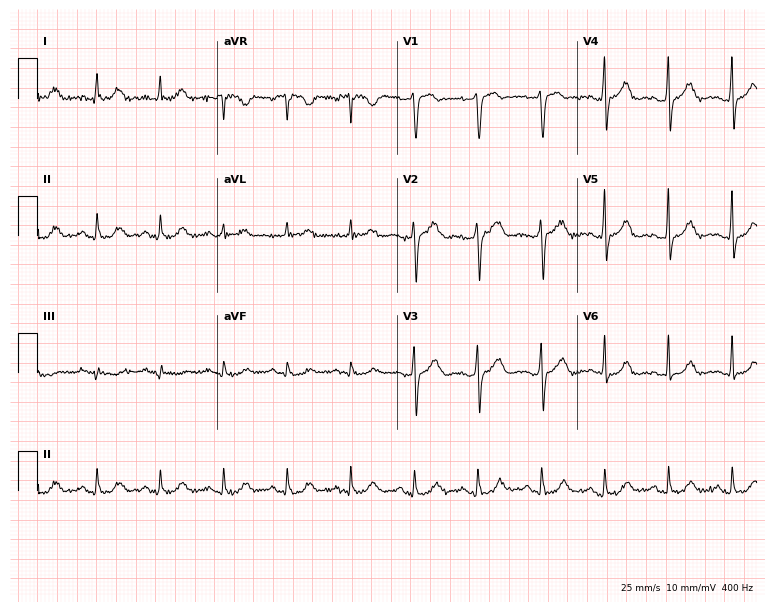
Electrocardiogram (7.3-second recording at 400 Hz), a woman, 43 years old. Overall reading on record: normal ECG.